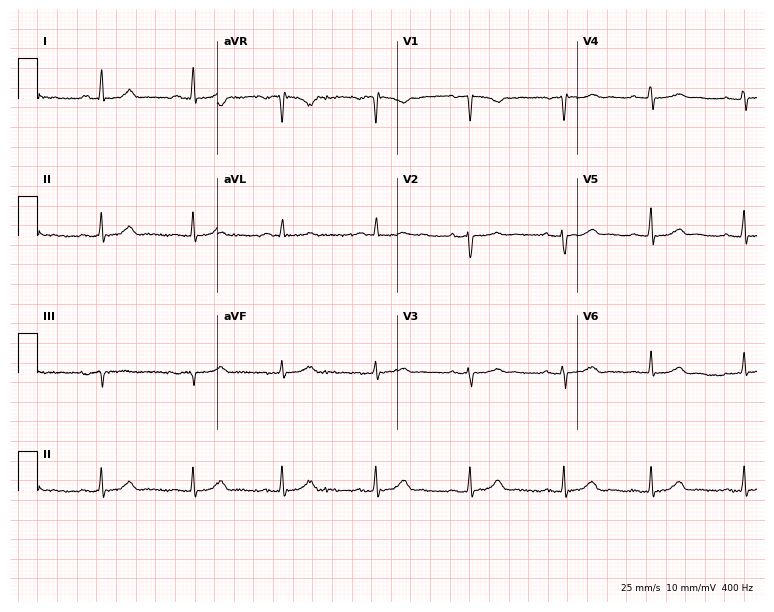
12-lead ECG (7.3-second recording at 400 Hz) from a female, 48 years old. Labelled as a normal ECG.